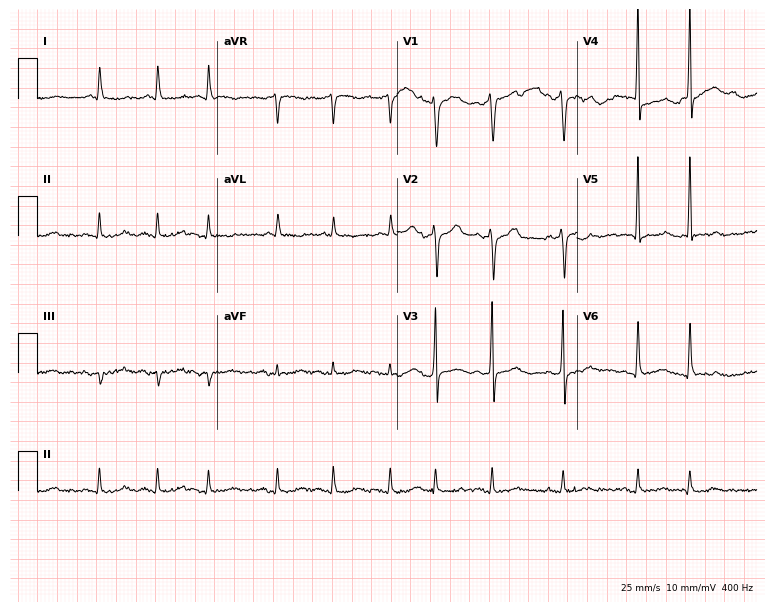
12-lead ECG (7.3-second recording at 400 Hz) from a man, 84 years old. Findings include atrial fibrillation.